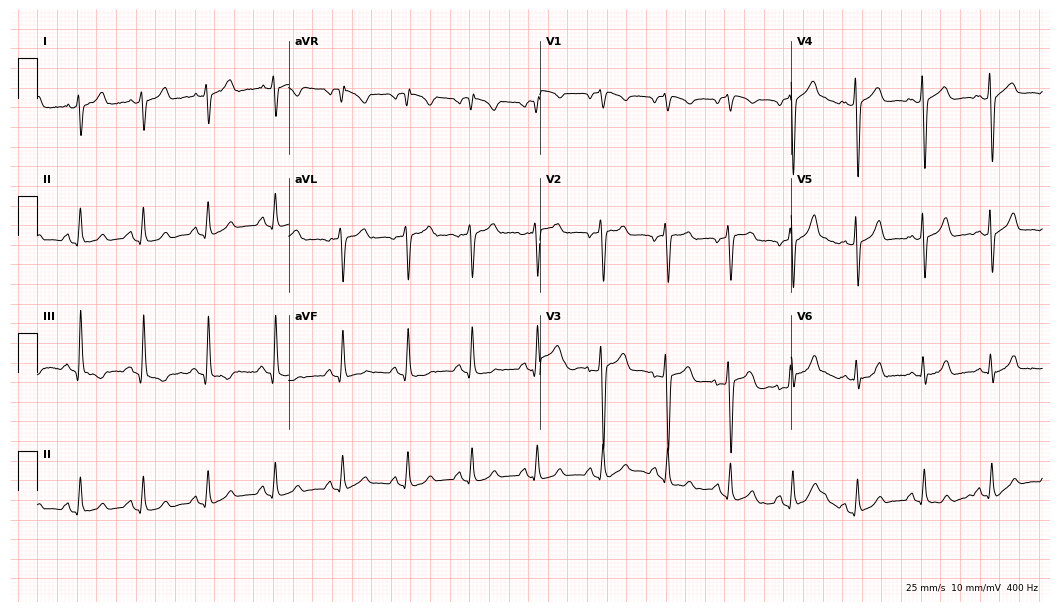
Electrocardiogram (10.2-second recording at 400 Hz), a woman, 45 years old. Overall reading on record: normal ECG.